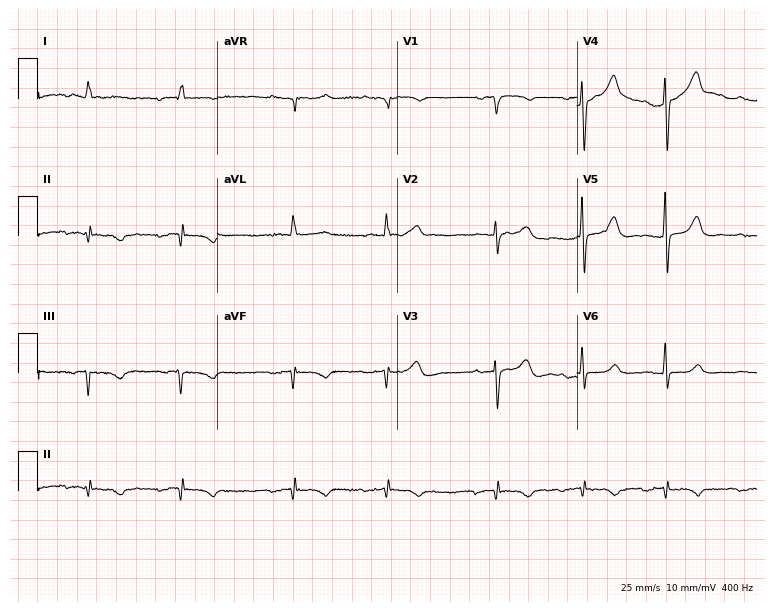
Standard 12-lead ECG recorded from an 82-year-old female patient. None of these six findings is recorded: first-degree AV block, right bundle branch block, left bundle branch block, sinus bradycardia, atrial fibrillation, sinus tachycardia. Other findings, if any, are not listed.